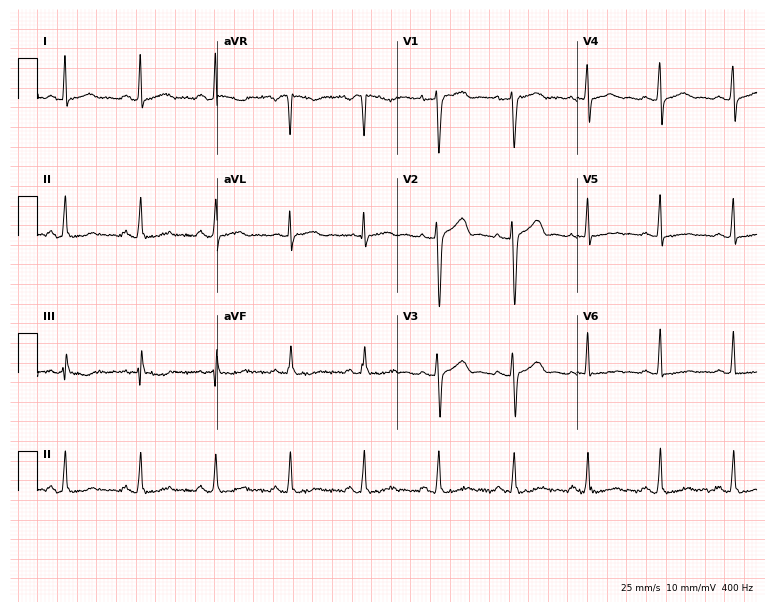
ECG (7.3-second recording at 400 Hz) — a woman, 32 years old. Screened for six findings — first-degree AV block, right bundle branch block (RBBB), left bundle branch block (LBBB), sinus bradycardia, atrial fibrillation (AF), sinus tachycardia — none is recorded.